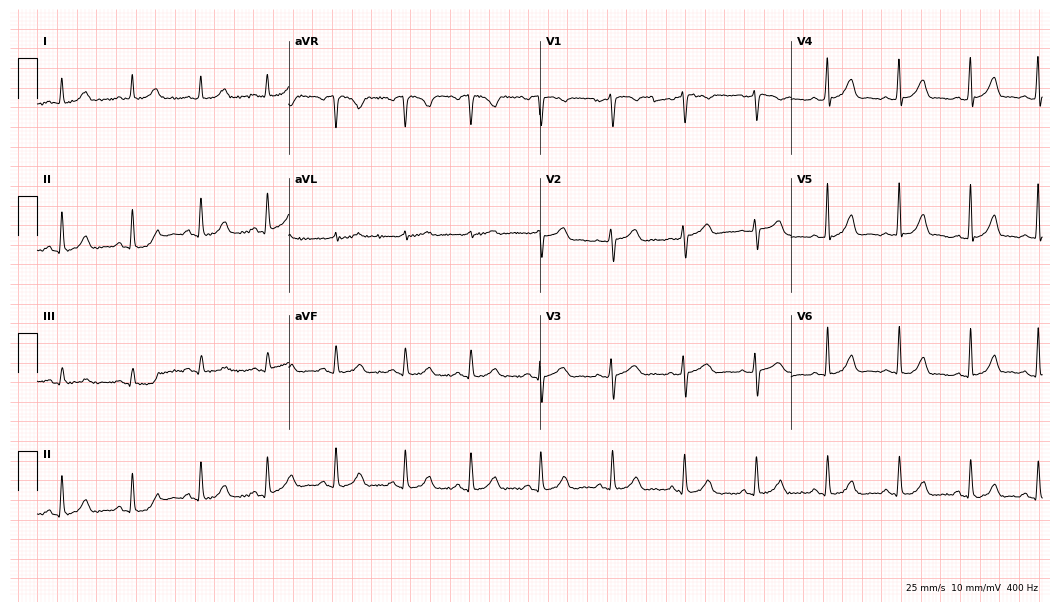
Standard 12-lead ECG recorded from a female patient, 36 years old. Read as a normal ECG.